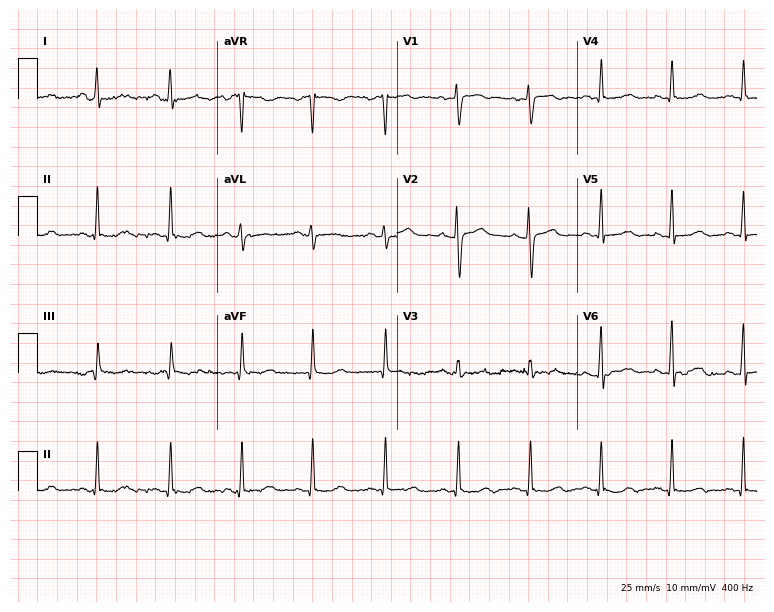
12-lead ECG (7.3-second recording at 400 Hz) from a 33-year-old woman. Screened for six findings — first-degree AV block, right bundle branch block (RBBB), left bundle branch block (LBBB), sinus bradycardia, atrial fibrillation (AF), sinus tachycardia — none is recorded.